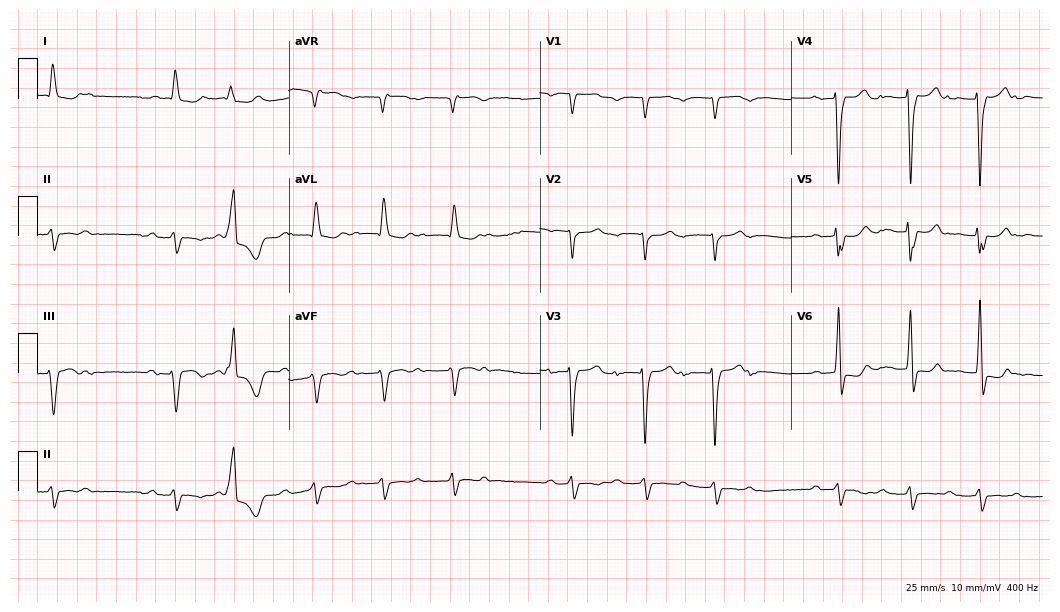
12-lead ECG from a 66-year-old female. Findings include atrial fibrillation (AF).